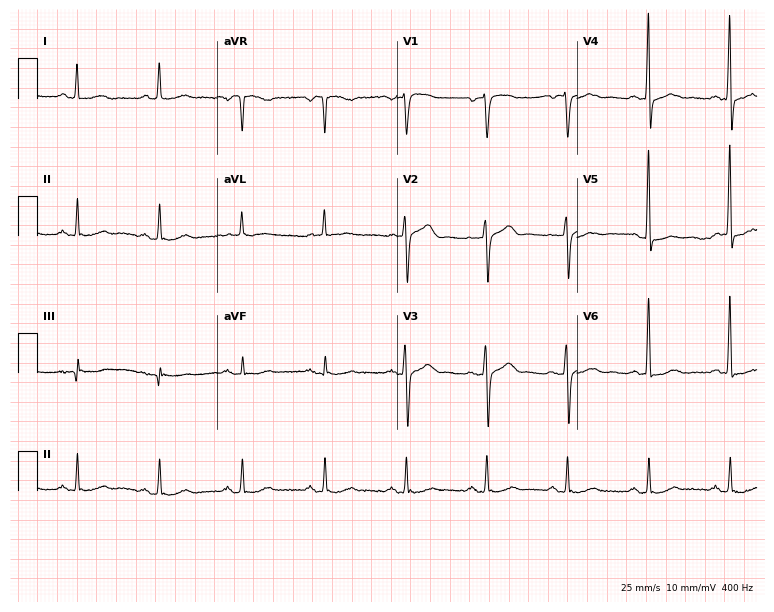
ECG — a male patient, 72 years old. Screened for six findings — first-degree AV block, right bundle branch block, left bundle branch block, sinus bradycardia, atrial fibrillation, sinus tachycardia — none is recorded.